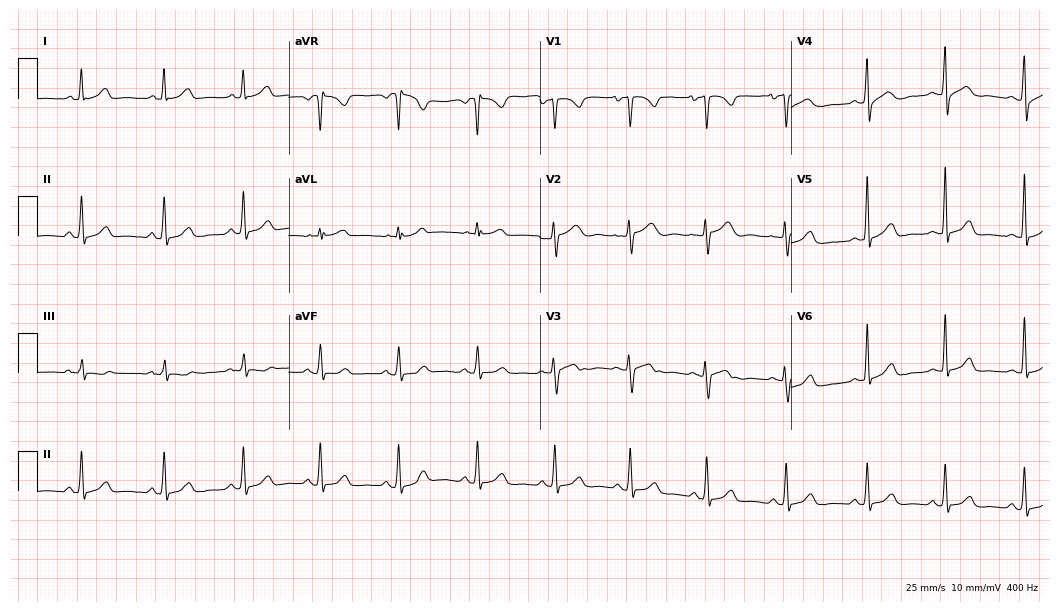
Standard 12-lead ECG recorded from a 35-year-old female patient (10.2-second recording at 400 Hz). None of these six findings is recorded: first-degree AV block, right bundle branch block, left bundle branch block, sinus bradycardia, atrial fibrillation, sinus tachycardia.